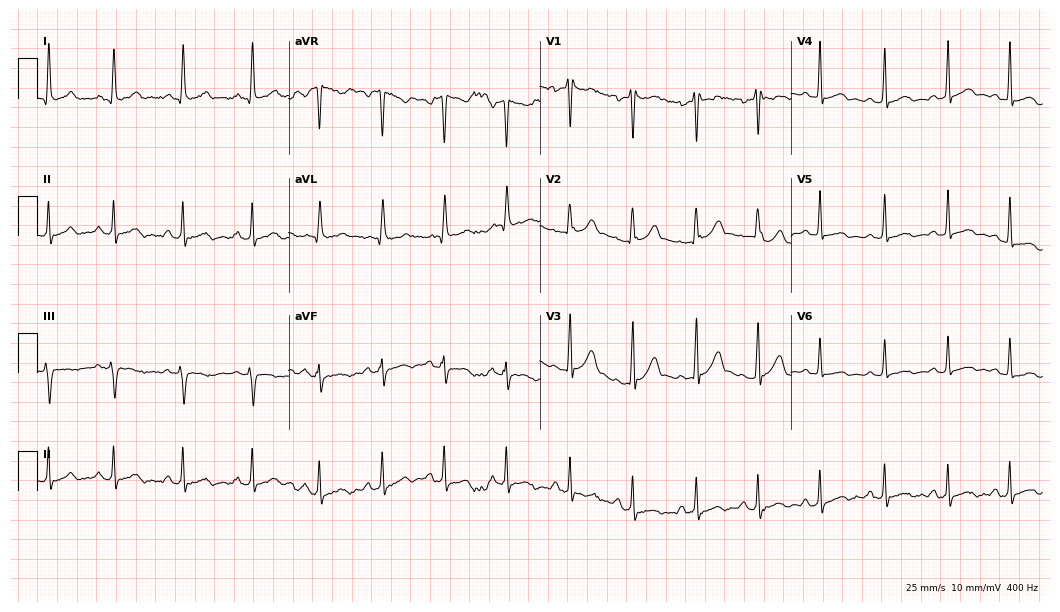
12-lead ECG from a male patient, 28 years old. Labelled as a normal ECG.